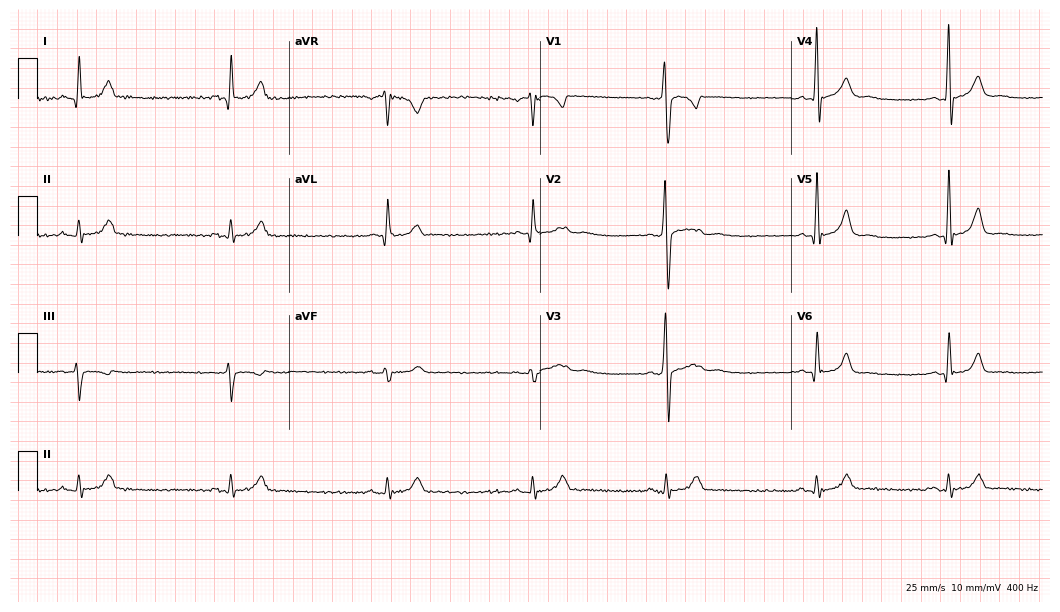
12-lead ECG from a man, 40 years old (10.2-second recording at 400 Hz). Shows sinus bradycardia (a sinus rate of 50 beats per minute or less).